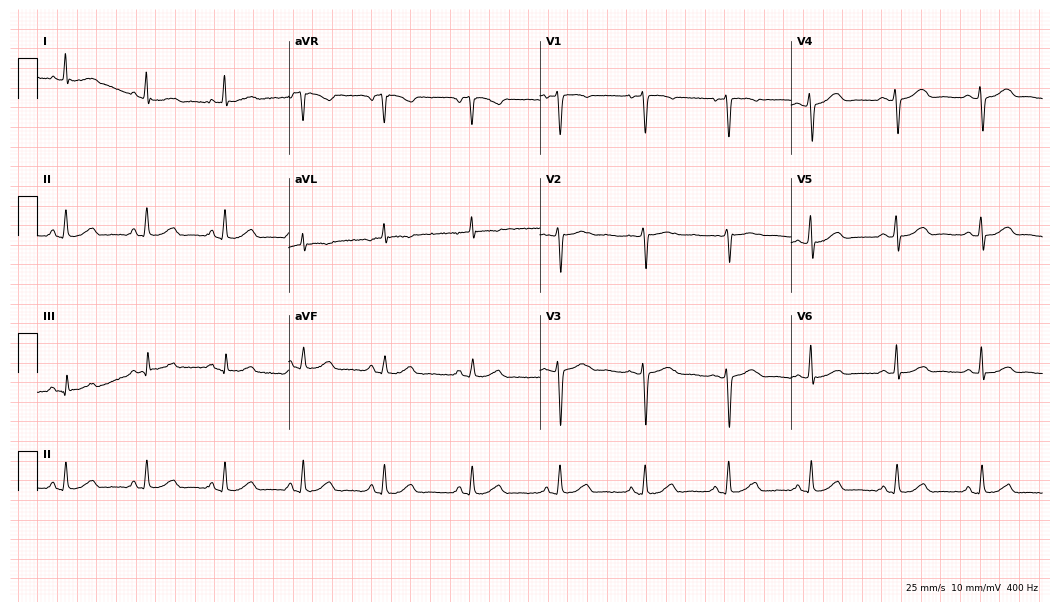
Resting 12-lead electrocardiogram (10.2-second recording at 400 Hz). Patient: a 53-year-old female. None of these six findings is recorded: first-degree AV block, right bundle branch block, left bundle branch block, sinus bradycardia, atrial fibrillation, sinus tachycardia. Findings outside these six are not listed.